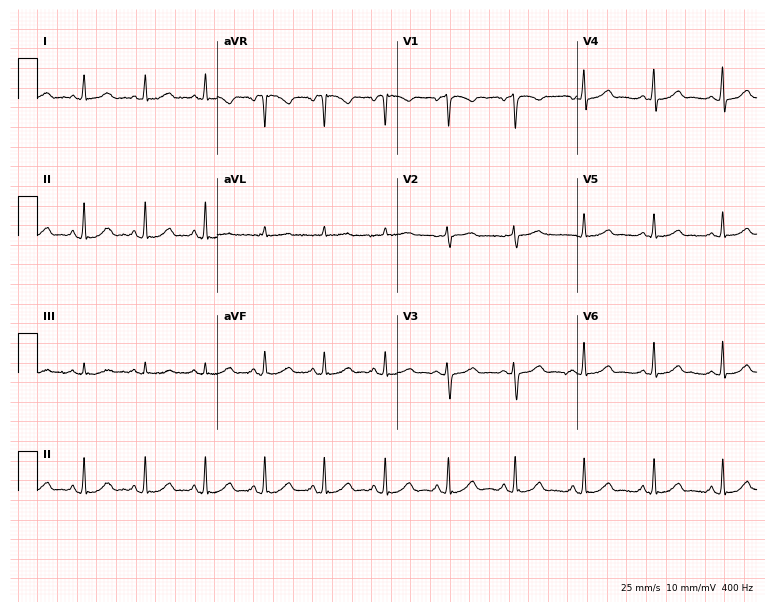
12-lead ECG from a 46-year-old female. Recorded interpretation: within normal limits.